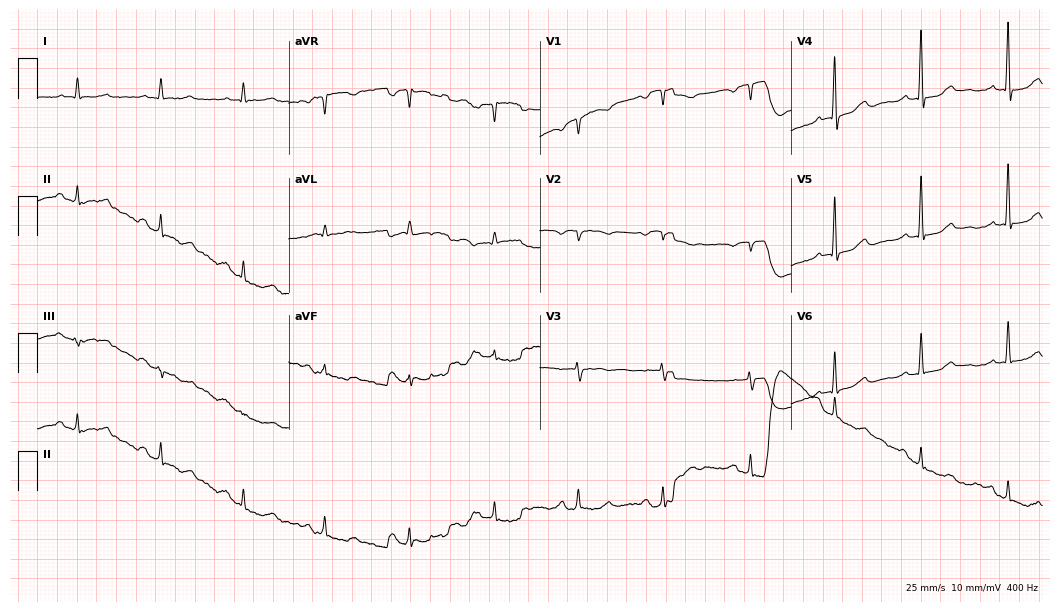
Resting 12-lead electrocardiogram (10.2-second recording at 400 Hz). Patient: a woman, 73 years old. None of these six findings is recorded: first-degree AV block, right bundle branch block, left bundle branch block, sinus bradycardia, atrial fibrillation, sinus tachycardia. Only these six findings were labelled.